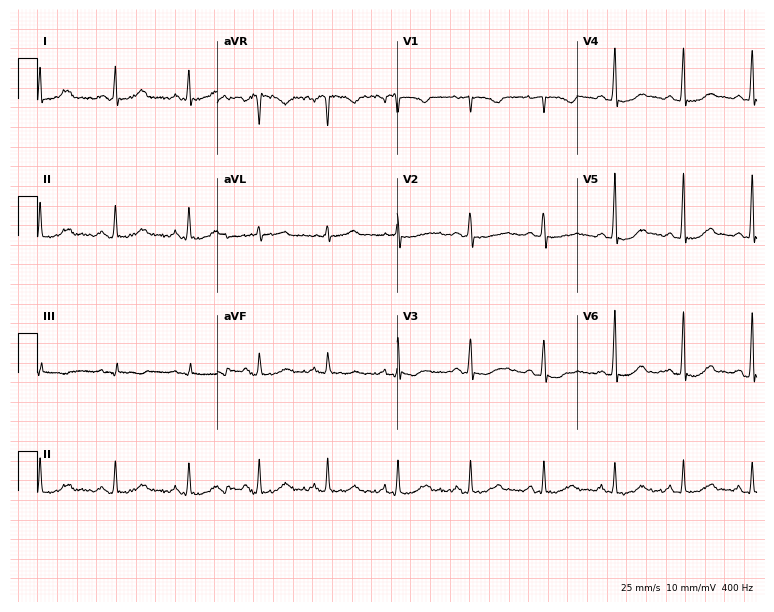
12-lead ECG from a 34-year-old female patient (7.3-second recording at 400 Hz). Recorded interpretation: within normal limits.